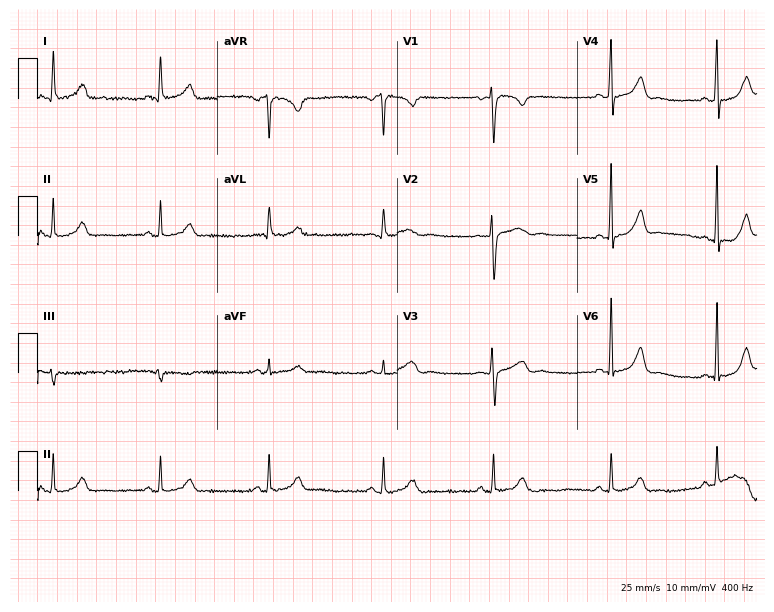
ECG (7.3-second recording at 400 Hz) — a 32-year-old female patient. Screened for six findings — first-degree AV block, right bundle branch block, left bundle branch block, sinus bradycardia, atrial fibrillation, sinus tachycardia — none is recorded.